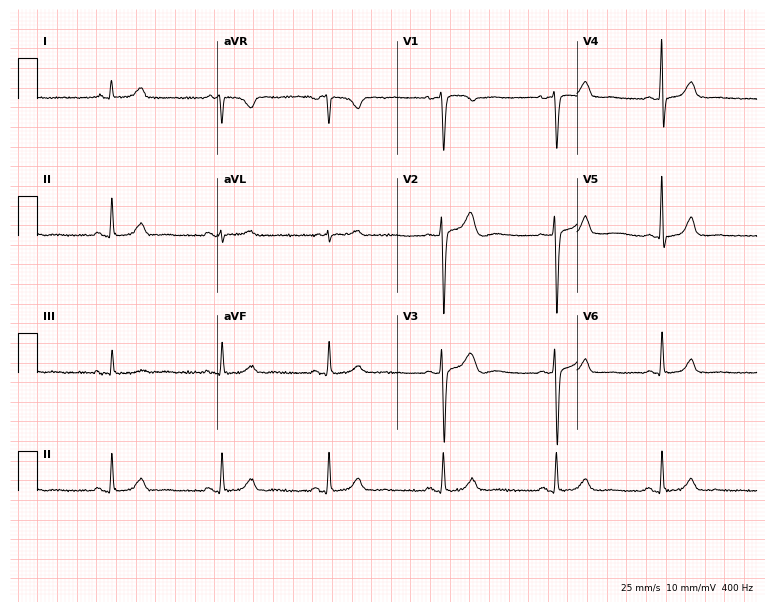
12-lead ECG from a female patient, 37 years old (7.3-second recording at 400 Hz). No first-degree AV block, right bundle branch block (RBBB), left bundle branch block (LBBB), sinus bradycardia, atrial fibrillation (AF) or sinus tachycardia recorded for this tracing. Other findings, if any, are not listed.